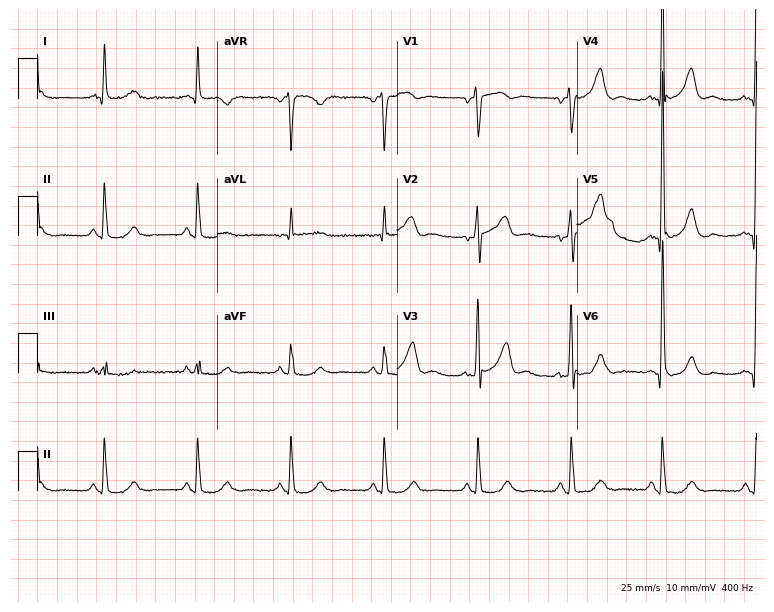
12-lead ECG from a male patient, 71 years old. No first-degree AV block, right bundle branch block, left bundle branch block, sinus bradycardia, atrial fibrillation or sinus tachycardia recorded for this tracing. Findings outside these six are not listed.